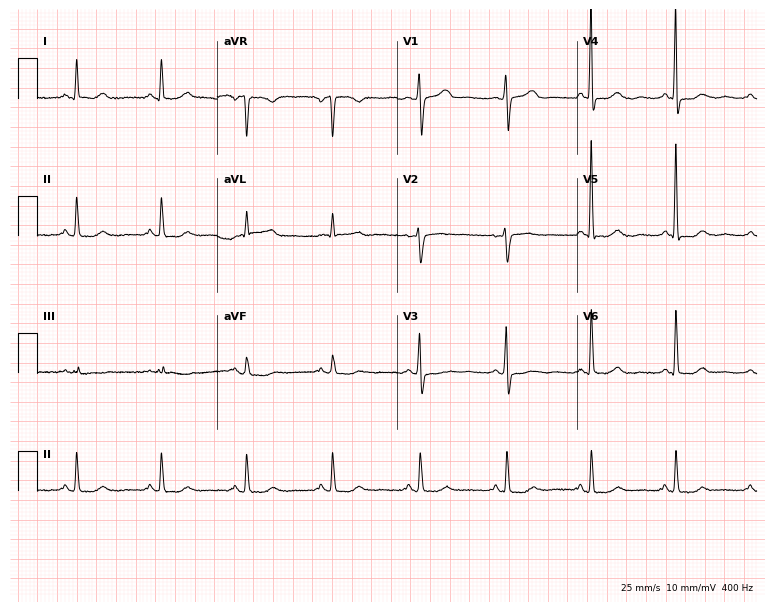
Resting 12-lead electrocardiogram. Patient: a female, 69 years old. None of these six findings is recorded: first-degree AV block, right bundle branch block, left bundle branch block, sinus bradycardia, atrial fibrillation, sinus tachycardia.